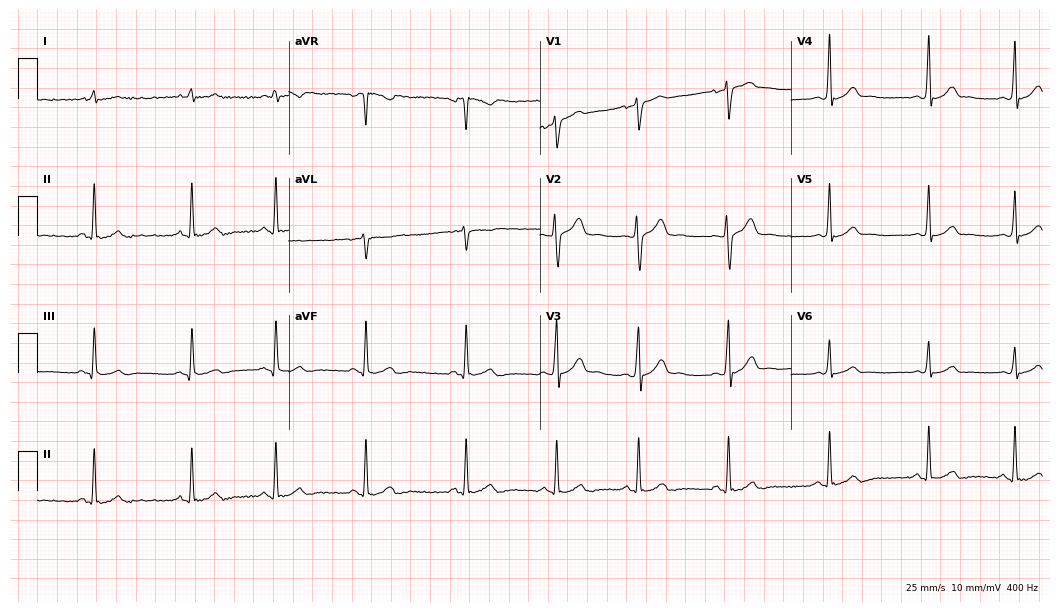
ECG — a male patient, 22 years old. Labelled as a normal ECG.